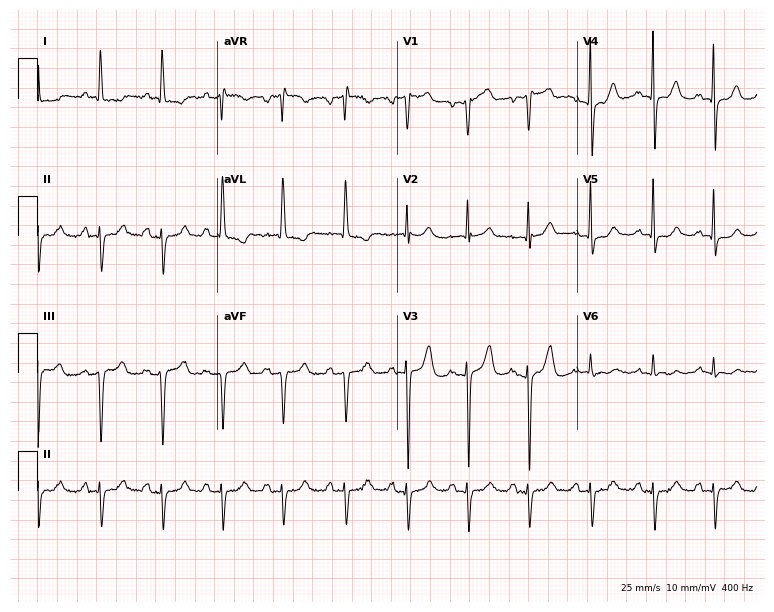
ECG — a female patient, 85 years old. Screened for six findings — first-degree AV block, right bundle branch block, left bundle branch block, sinus bradycardia, atrial fibrillation, sinus tachycardia — none is recorded.